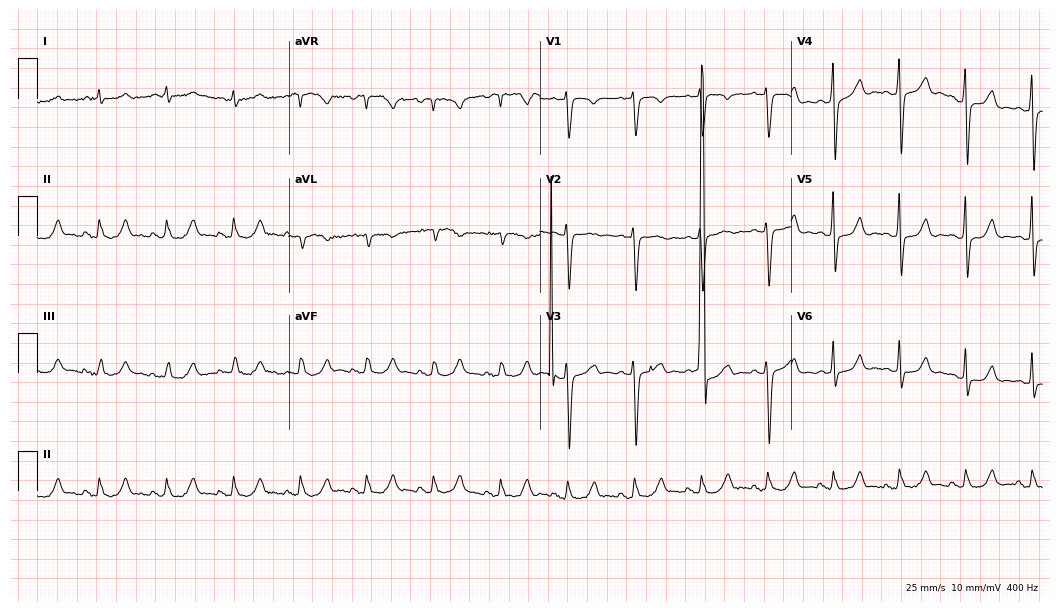
ECG — a 57-year-old male patient. Screened for six findings — first-degree AV block, right bundle branch block, left bundle branch block, sinus bradycardia, atrial fibrillation, sinus tachycardia — none is recorded. Only these six findings were labelled.